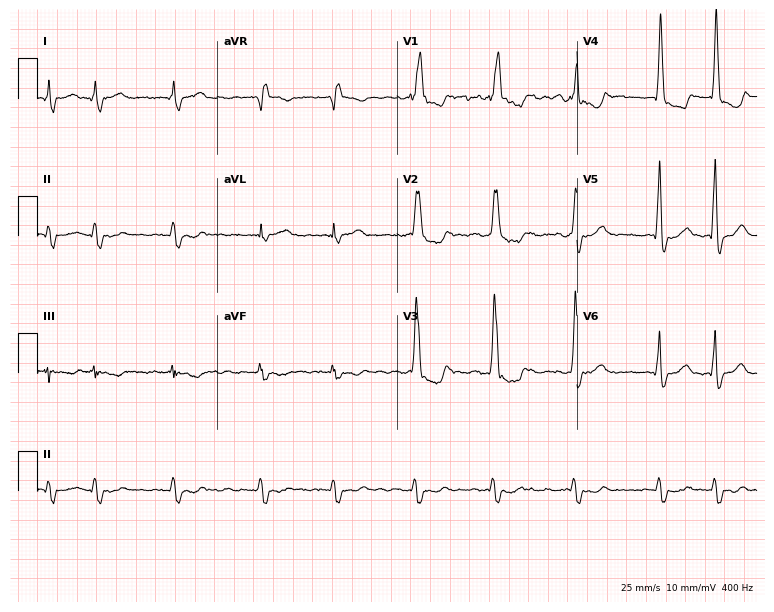
Standard 12-lead ECG recorded from a 65-year-old male patient (7.3-second recording at 400 Hz). The tracing shows right bundle branch block, atrial fibrillation.